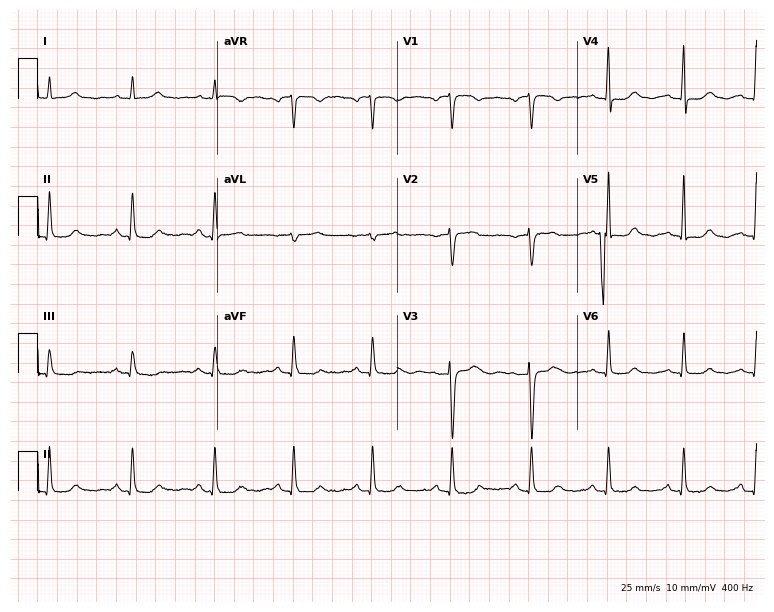
Resting 12-lead electrocardiogram. Patient: a 53-year-old female. Read as a normal ECG.